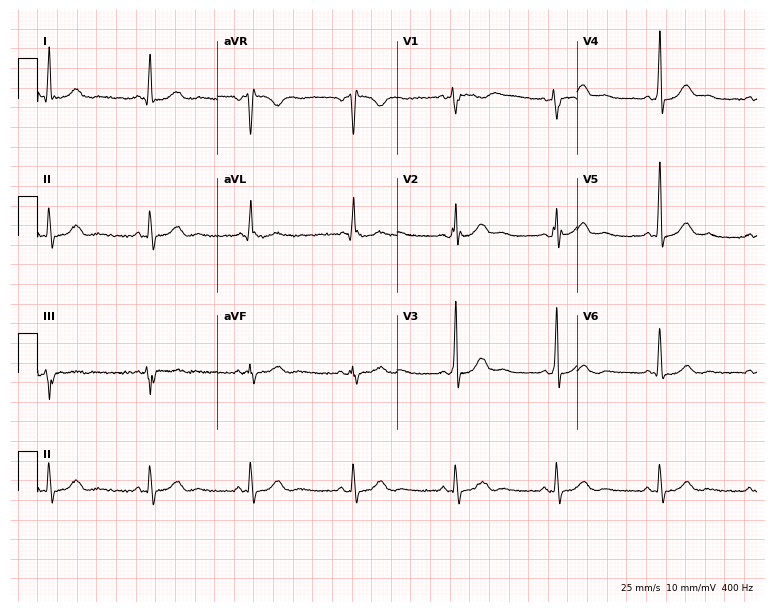
12-lead ECG from a man, 64 years old (7.3-second recording at 400 Hz). No first-degree AV block, right bundle branch block (RBBB), left bundle branch block (LBBB), sinus bradycardia, atrial fibrillation (AF) or sinus tachycardia recorded for this tracing. Only these six findings were labelled.